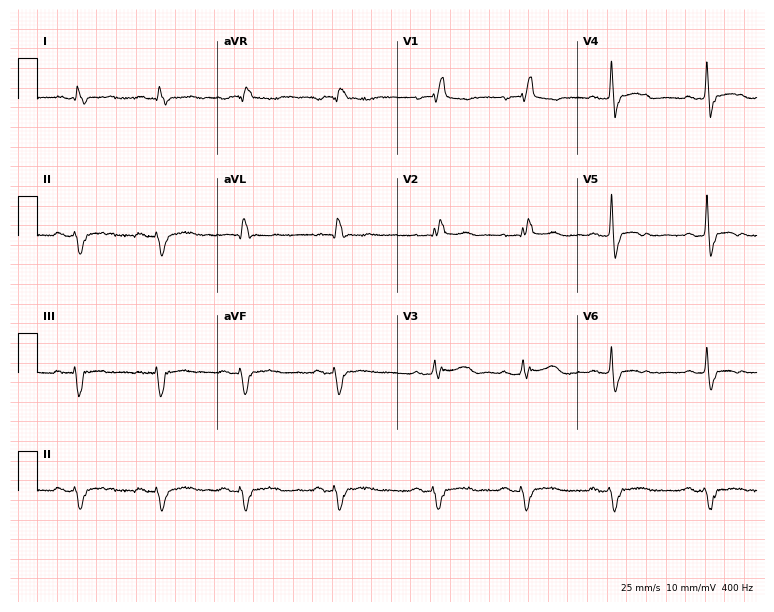
ECG — a 60-year-old male patient. Findings include right bundle branch block.